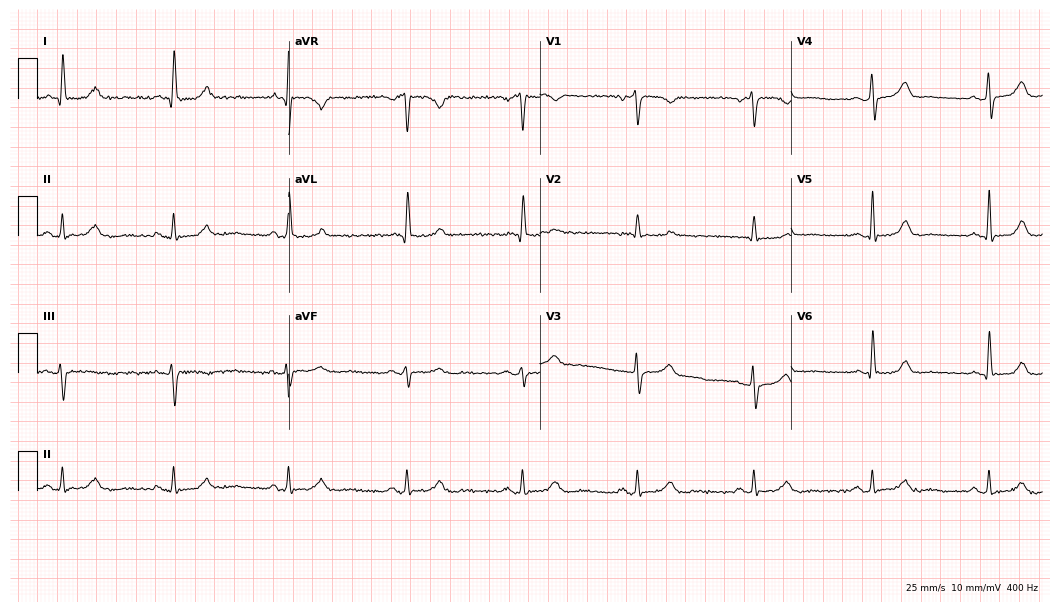
12-lead ECG (10.2-second recording at 400 Hz) from a 63-year-old woman. Labelled as a normal ECG.